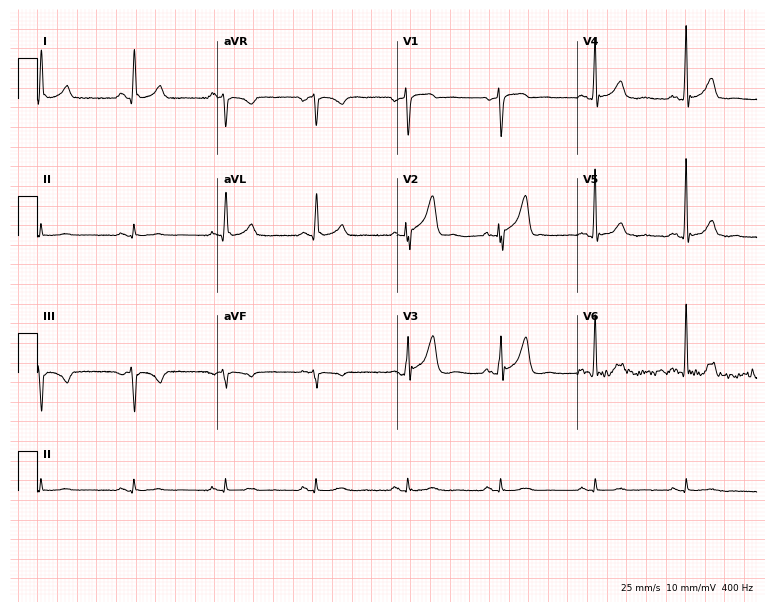
Standard 12-lead ECG recorded from a 61-year-old male patient (7.3-second recording at 400 Hz). None of these six findings is recorded: first-degree AV block, right bundle branch block (RBBB), left bundle branch block (LBBB), sinus bradycardia, atrial fibrillation (AF), sinus tachycardia. Only these six findings were labelled.